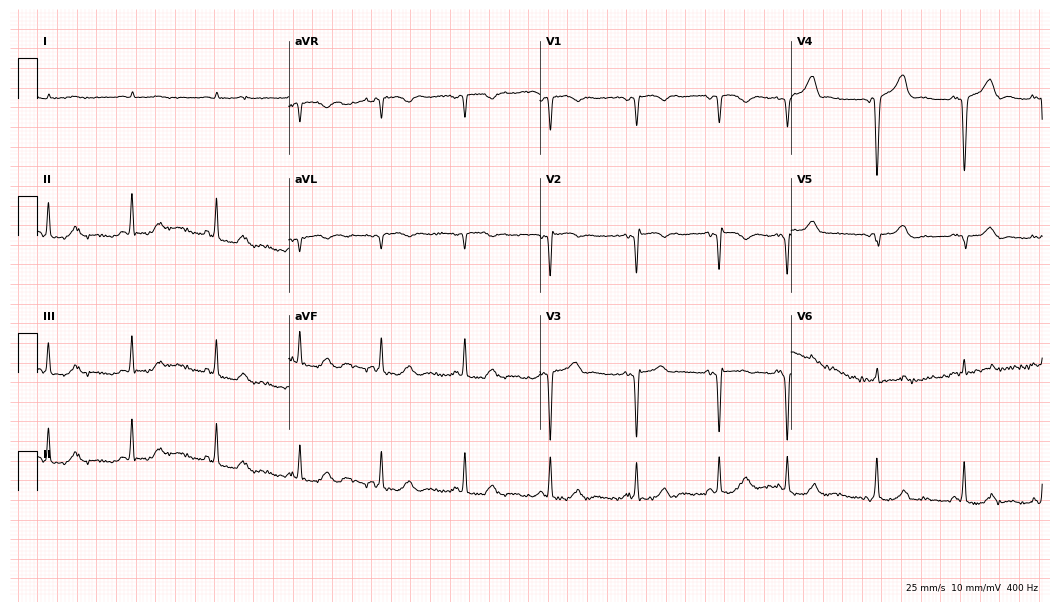
ECG — a male patient, 74 years old. Screened for six findings — first-degree AV block, right bundle branch block (RBBB), left bundle branch block (LBBB), sinus bradycardia, atrial fibrillation (AF), sinus tachycardia — none is recorded. Findings outside these six are not listed.